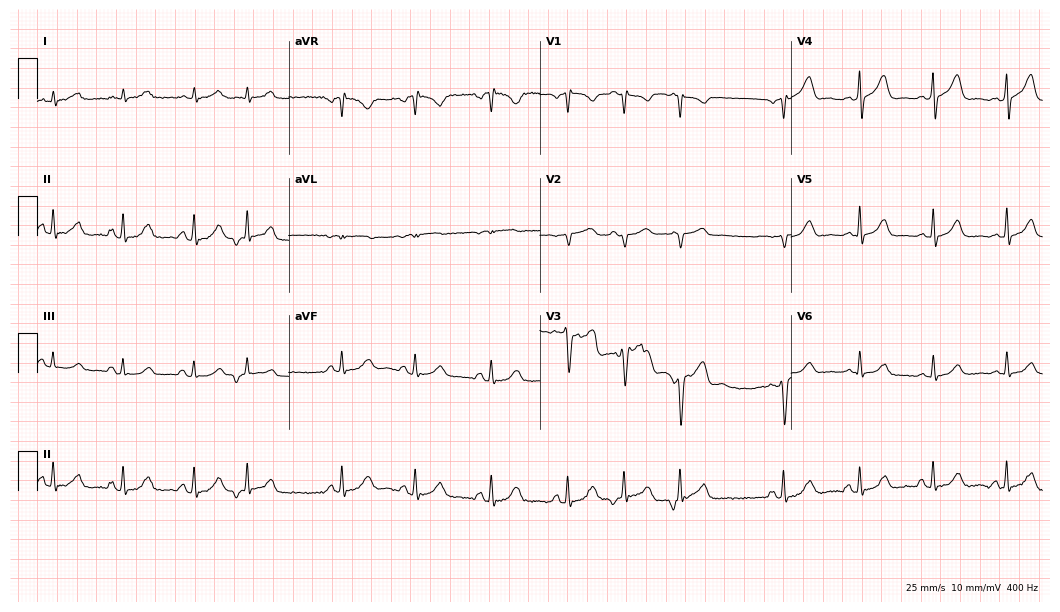
ECG — a 52-year-old male. Screened for six findings — first-degree AV block, right bundle branch block (RBBB), left bundle branch block (LBBB), sinus bradycardia, atrial fibrillation (AF), sinus tachycardia — none is recorded.